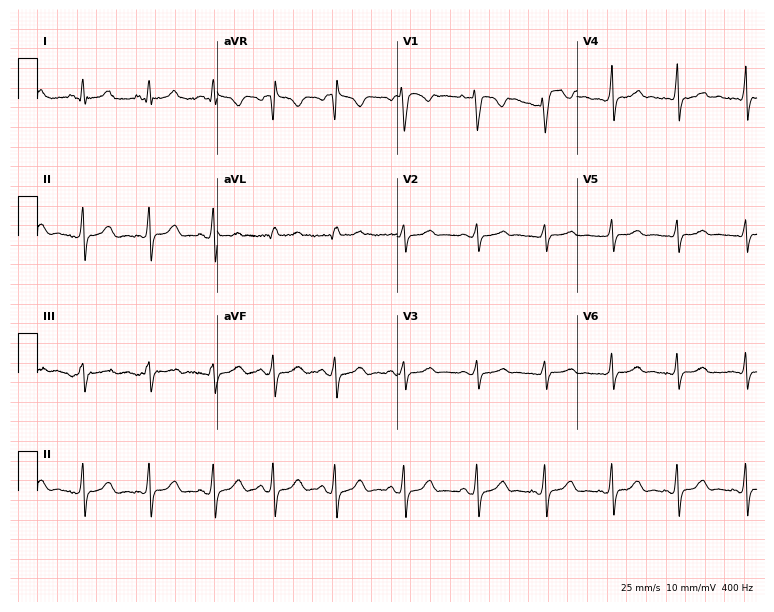
12-lead ECG from a female, 19 years old. Labelled as a normal ECG.